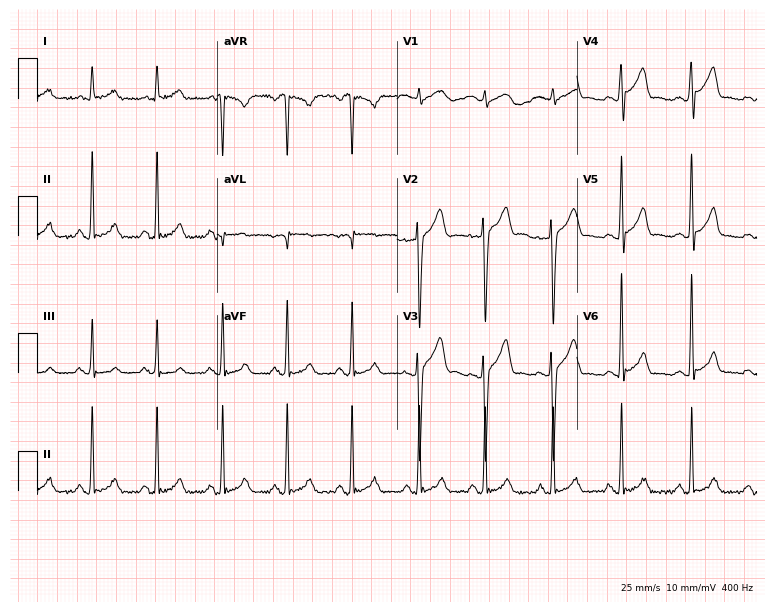
Electrocardiogram, a male, 29 years old. Overall reading on record: normal ECG.